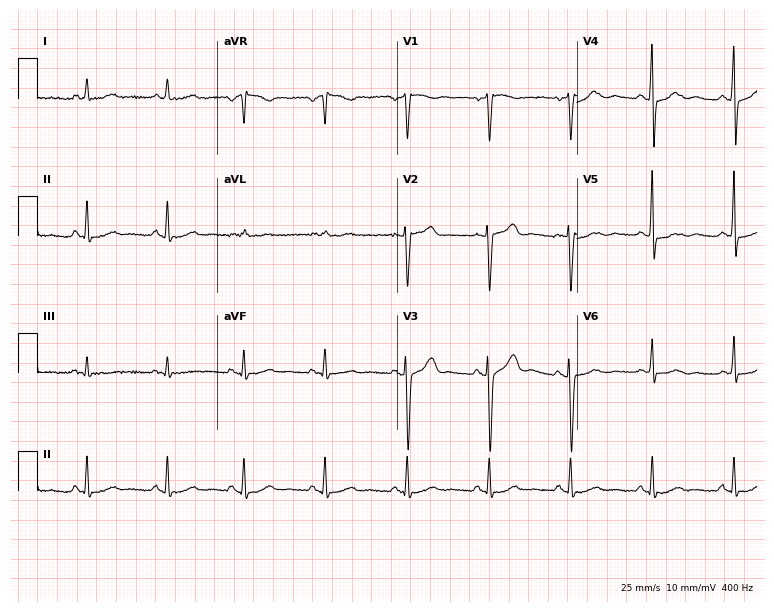
12-lead ECG from a 61-year-old man. No first-degree AV block, right bundle branch block, left bundle branch block, sinus bradycardia, atrial fibrillation or sinus tachycardia recorded for this tracing.